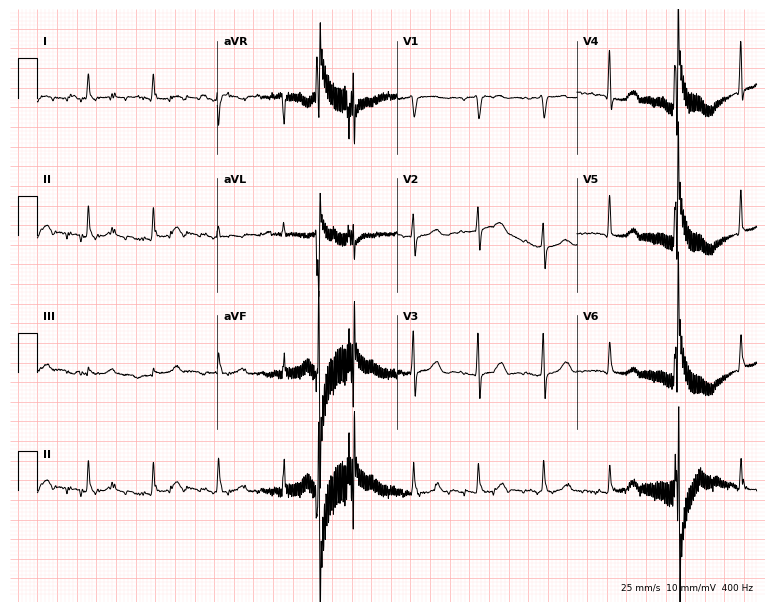
Resting 12-lead electrocardiogram (7.3-second recording at 400 Hz). Patient: a 61-year-old woman. Read as a normal ECG.